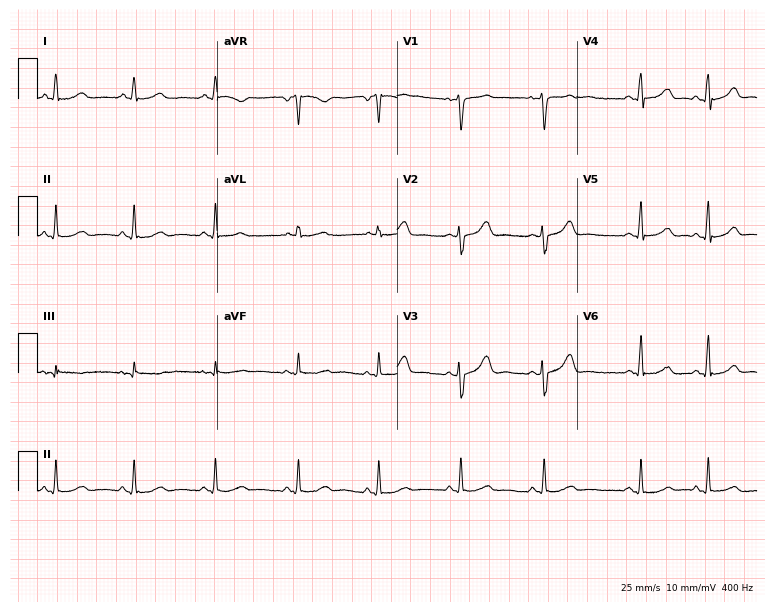
Electrocardiogram (7.3-second recording at 400 Hz), a female, 50 years old. Of the six screened findings (first-degree AV block, right bundle branch block (RBBB), left bundle branch block (LBBB), sinus bradycardia, atrial fibrillation (AF), sinus tachycardia), none is recorded. Only these six findings were labelled.